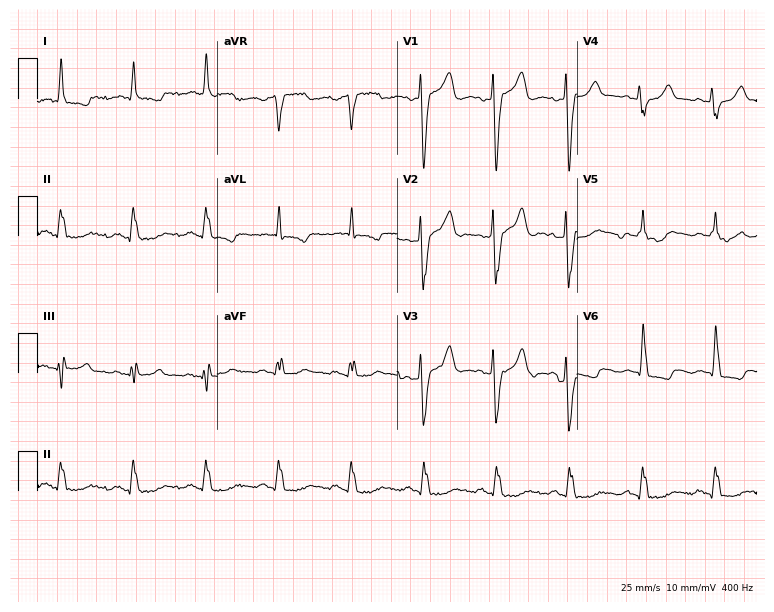
Electrocardiogram (7.3-second recording at 400 Hz), a man, 69 years old. Of the six screened findings (first-degree AV block, right bundle branch block (RBBB), left bundle branch block (LBBB), sinus bradycardia, atrial fibrillation (AF), sinus tachycardia), none is recorded.